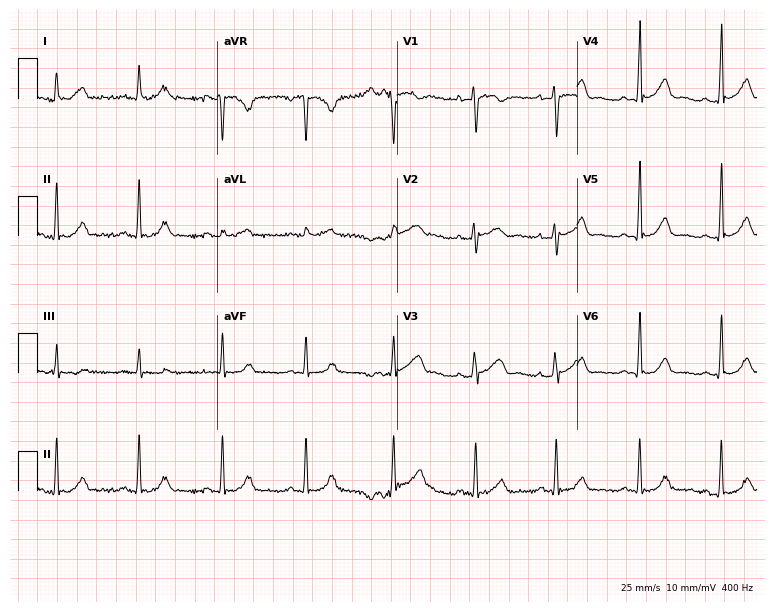
Standard 12-lead ECG recorded from a 41-year-old female (7.3-second recording at 400 Hz). Read as a normal ECG.